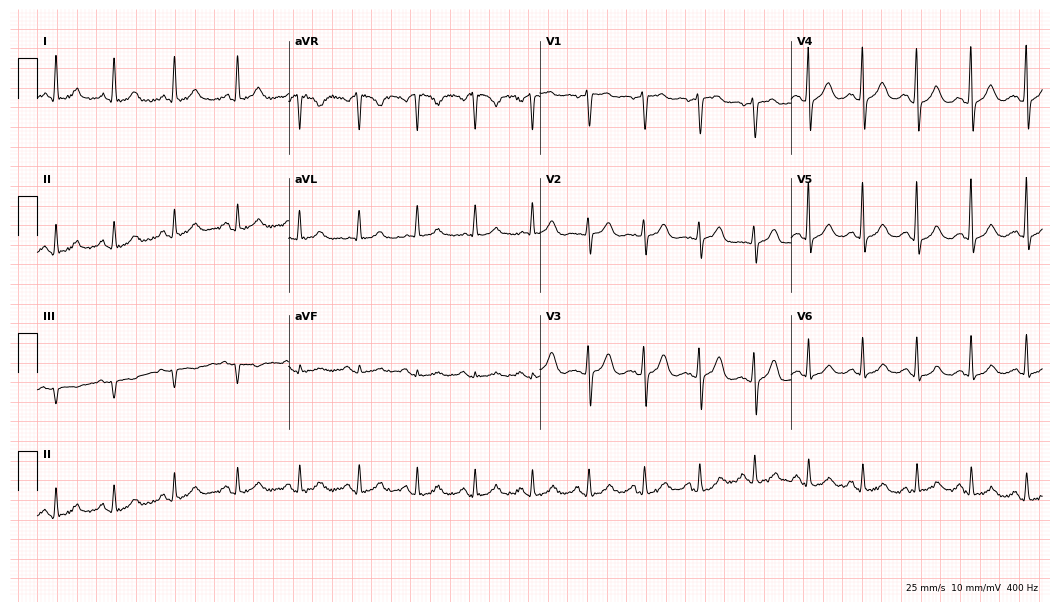
Electrocardiogram (10.2-second recording at 400 Hz), a 53-year-old female patient. Interpretation includes sinus tachycardia (a sinus rate of 100 beats per minute or more).